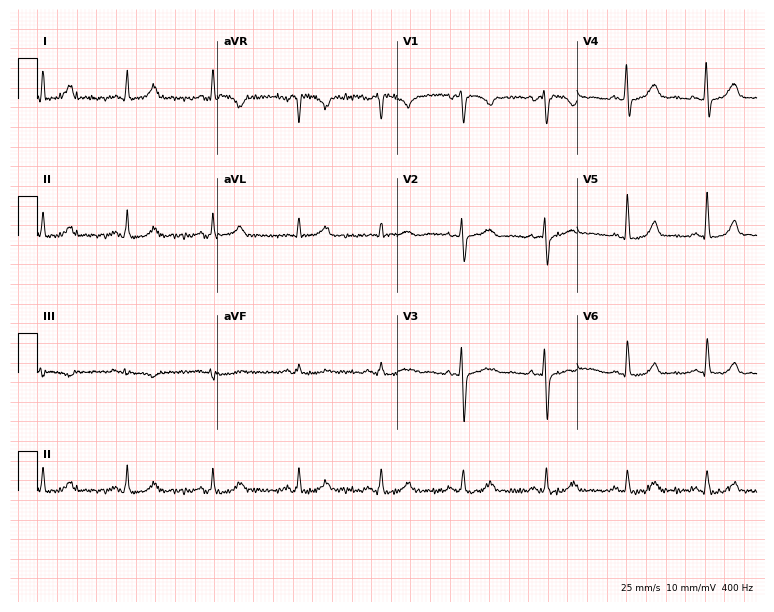
Standard 12-lead ECG recorded from a 41-year-old female (7.3-second recording at 400 Hz). None of these six findings is recorded: first-degree AV block, right bundle branch block (RBBB), left bundle branch block (LBBB), sinus bradycardia, atrial fibrillation (AF), sinus tachycardia.